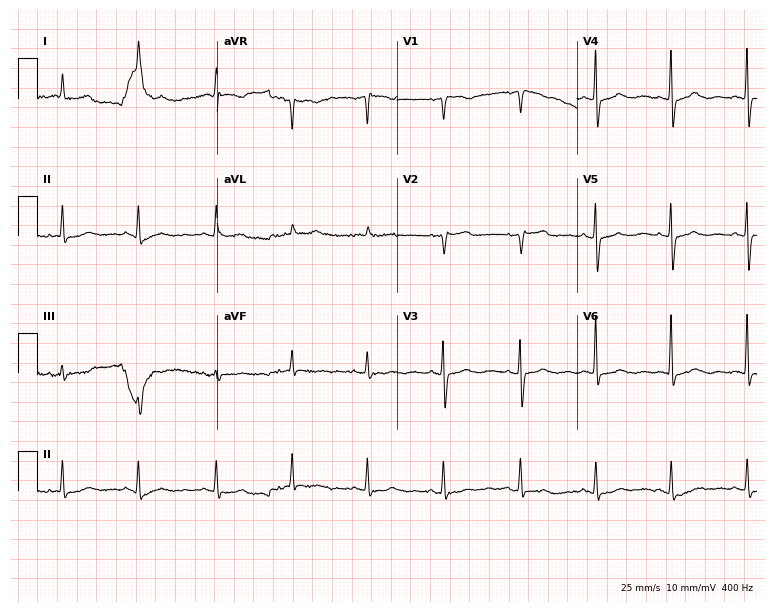
12-lead ECG from a 79-year-old woman. No first-degree AV block, right bundle branch block (RBBB), left bundle branch block (LBBB), sinus bradycardia, atrial fibrillation (AF) or sinus tachycardia recorded for this tracing. Findings outside these six are not listed.